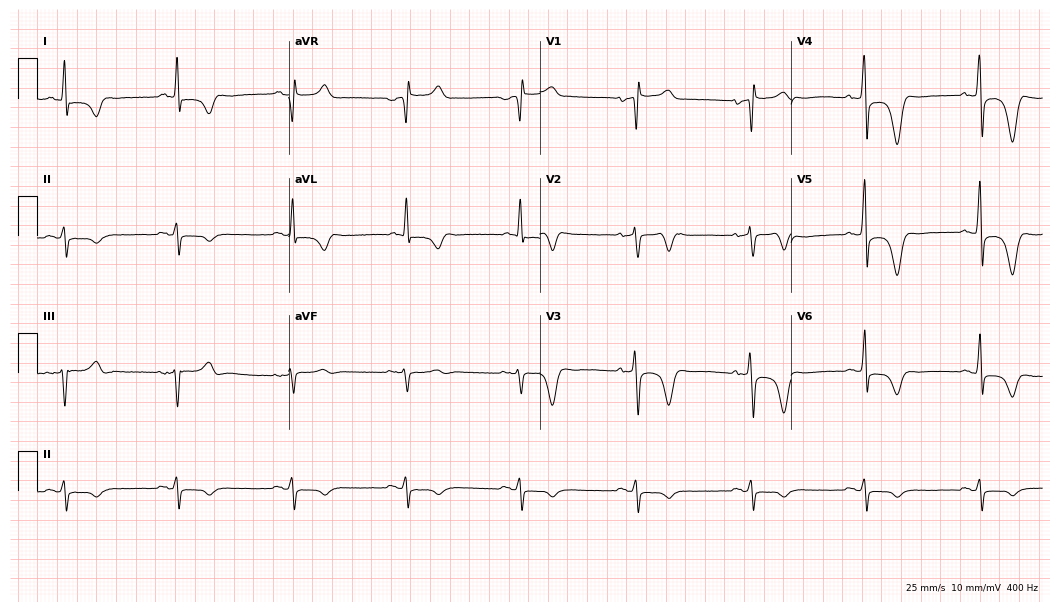
Standard 12-lead ECG recorded from a 64-year-old male (10.2-second recording at 400 Hz). None of these six findings is recorded: first-degree AV block, right bundle branch block, left bundle branch block, sinus bradycardia, atrial fibrillation, sinus tachycardia. Findings outside these six are not listed.